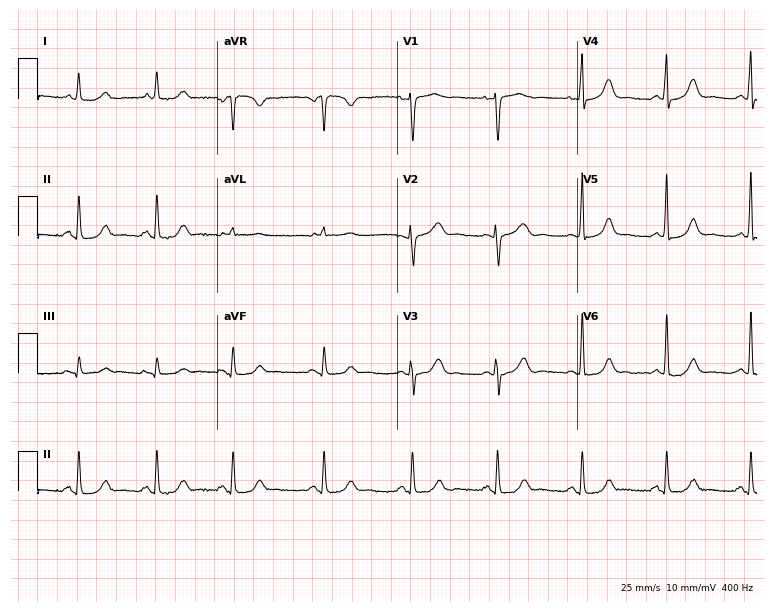
Standard 12-lead ECG recorded from a 63-year-old female patient (7.3-second recording at 400 Hz). None of these six findings is recorded: first-degree AV block, right bundle branch block, left bundle branch block, sinus bradycardia, atrial fibrillation, sinus tachycardia. Only these six findings were labelled.